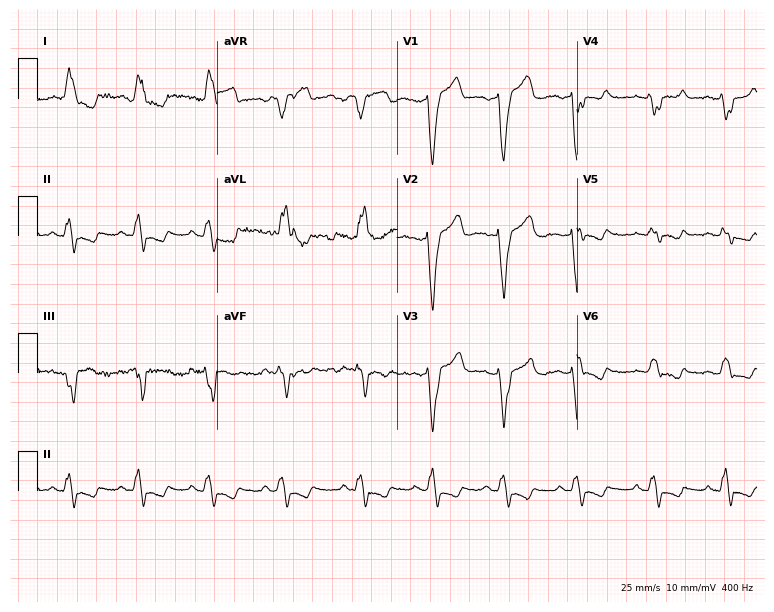
12-lead ECG from a 60-year-old female patient (7.3-second recording at 400 Hz). Shows left bundle branch block.